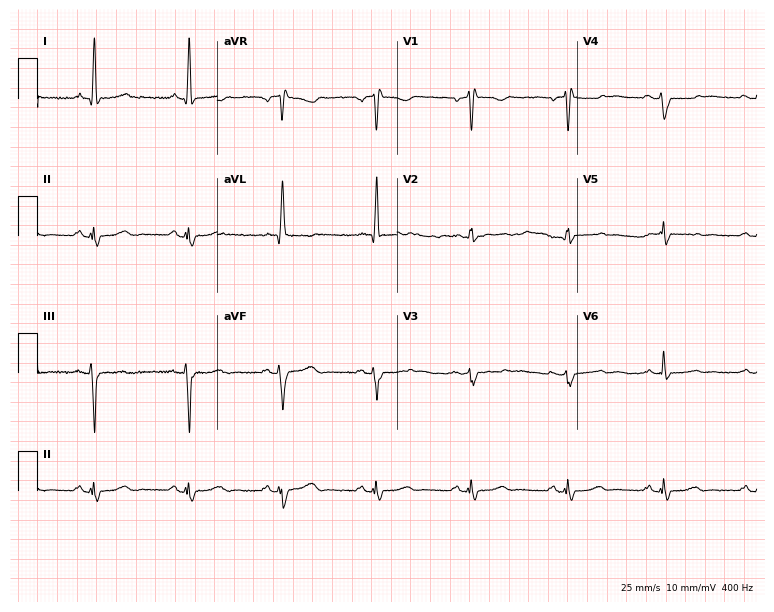
ECG (7.3-second recording at 400 Hz) — a female patient, 63 years old. Screened for six findings — first-degree AV block, right bundle branch block (RBBB), left bundle branch block (LBBB), sinus bradycardia, atrial fibrillation (AF), sinus tachycardia — none is recorded. Only these six findings were labelled.